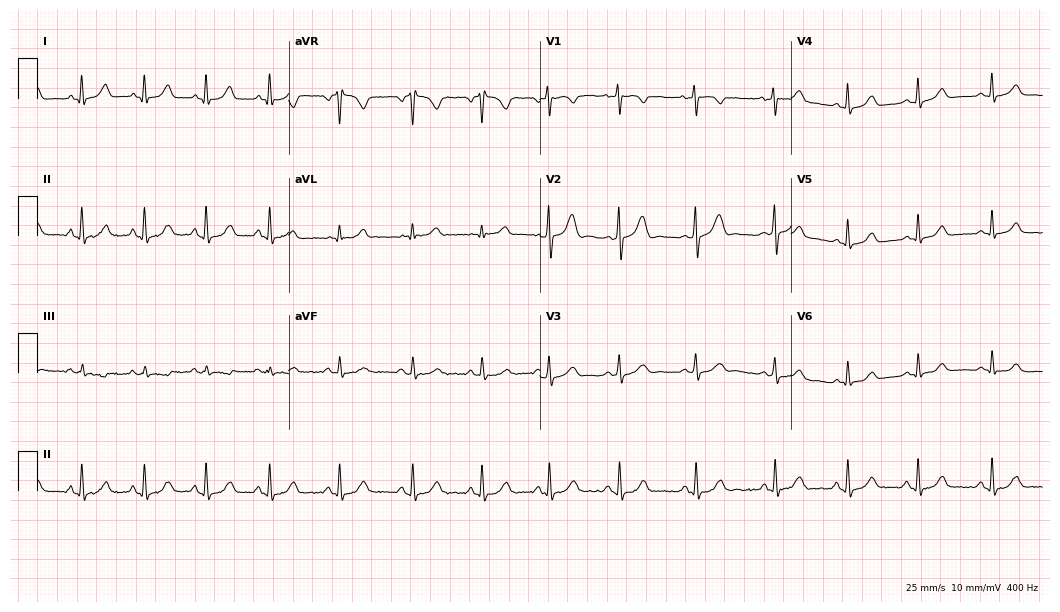
ECG — a 26-year-old female. Labelled as a normal ECG.